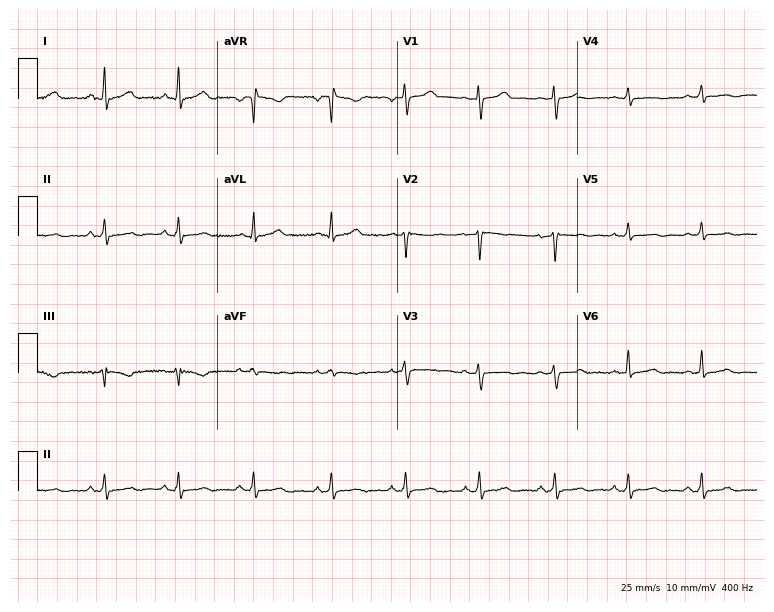
ECG (7.3-second recording at 400 Hz) — a female patient, 39 years old. Screened for six findings — first-degree AV block, right bundle branch block (RBBB), left bundle branch block (LBBB), sinus bradycardia, atrial fibrillation (AF), sinus tachycardia — none is recorded. Only these six findings were labelled.